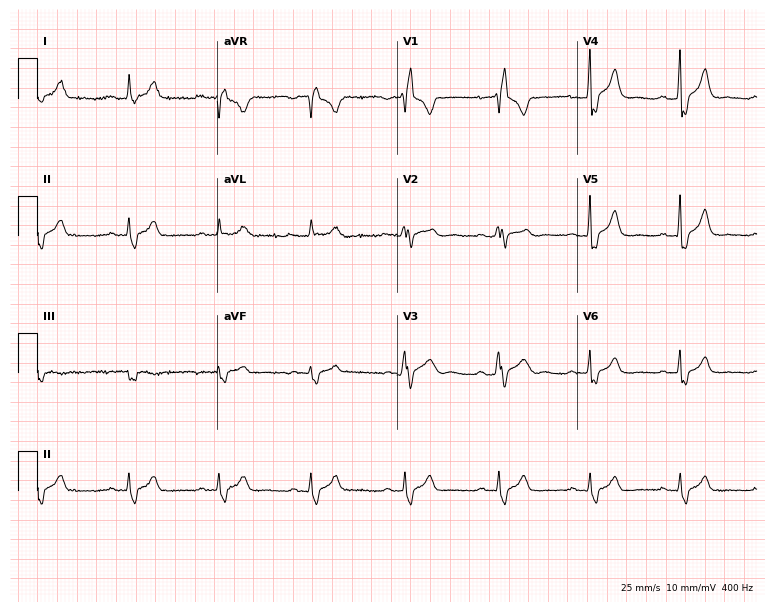
Resting 12-lead electrocardiogram. Patient: a man, 45 years old. The tracing shows right bundle branch block.